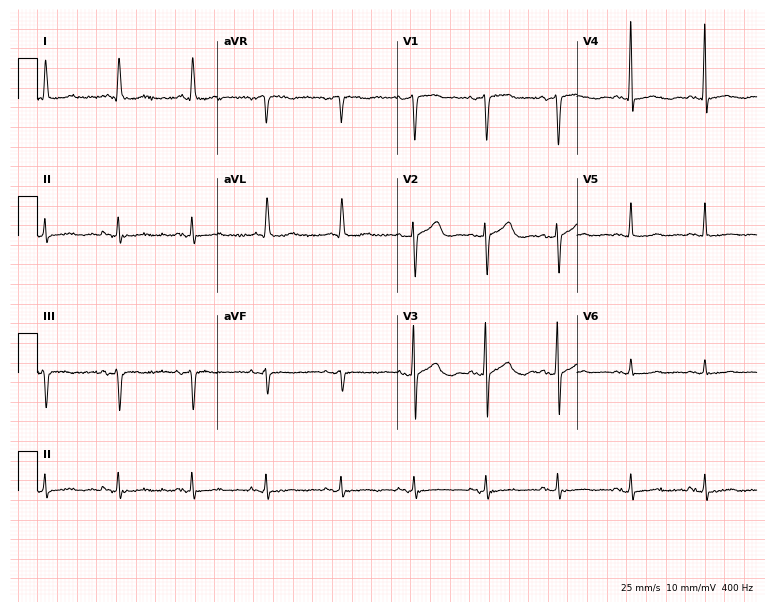
12-lead ECG from a 66-year-old male patient (7.3-second recording at 400 Hz). Recorded interpretation: within normal limits.